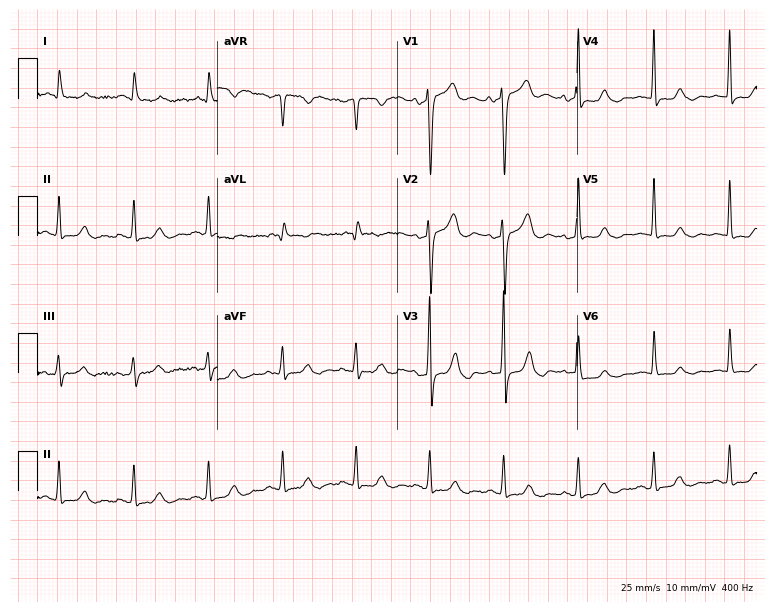
Resting 12-lead electrocardiogram (7.3-second recording at 400 Hz). Patient: a male, 71 years old. None of these six findings is recorded: first-degree AV block, right bundle branch block, left bundle branch block, sinus bradycardia, atrial fibrillation, sinus tachycardia.